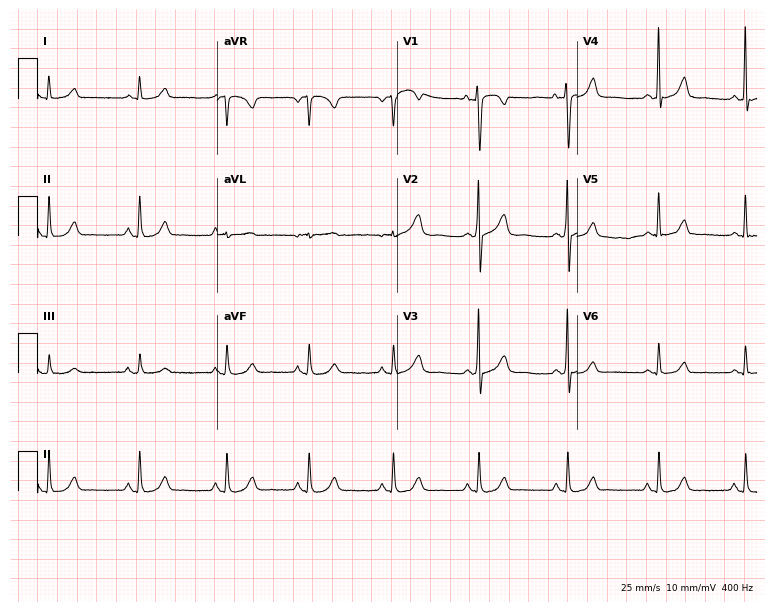
12-lead ECG (7.3-second recording at 400 Hz) from a female patient, 53 years old. Labelled as a normal ECG.